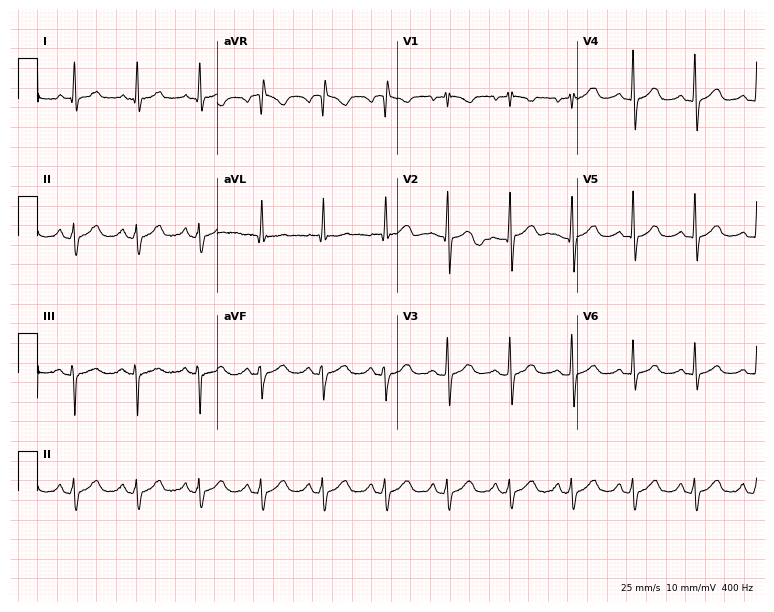
Resting 12-lead electrocardiogram (7.3-second recording at 400 Hz). Patient: a 52-year-old woman. None of these six findings is recorded: first-degree AV block, right bundle branch block, left bundle branch block, sinus bradycardia, atrial fibrillation, sinus tachycardia. Only these six findings were labelled.